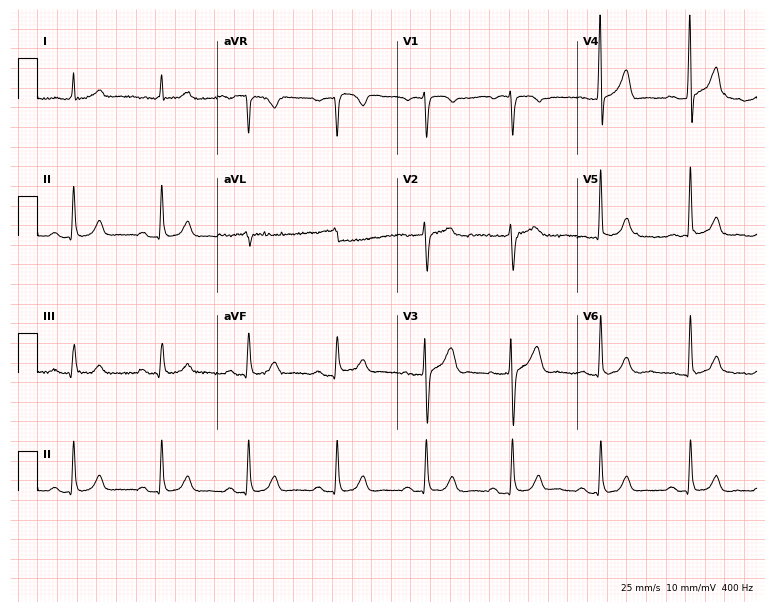
Electrocardiogram, a male patient, 78 years old. Of the six screened findings (first-degree AV block, right bundle branch block (RBBB), left bundle branch block (LBBB), sinus bradycardia, atrial fibrillation (AF), sinus tachycardia), none is recorded.